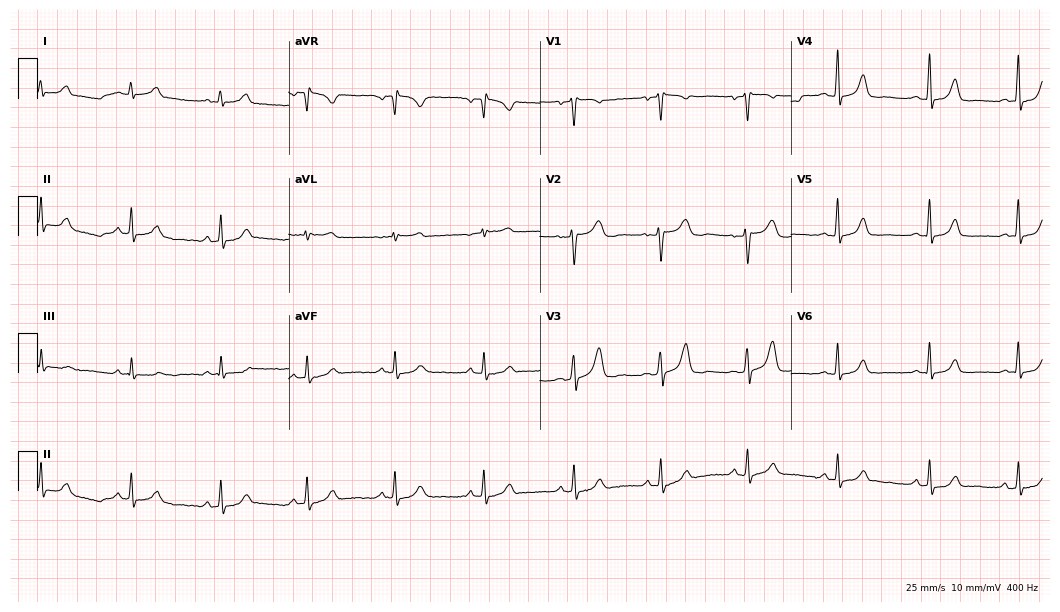
Electrocardiogram (10.2-second recording at 400 Hz), a female, 38 years old. Overall reading on record: normal ECG.